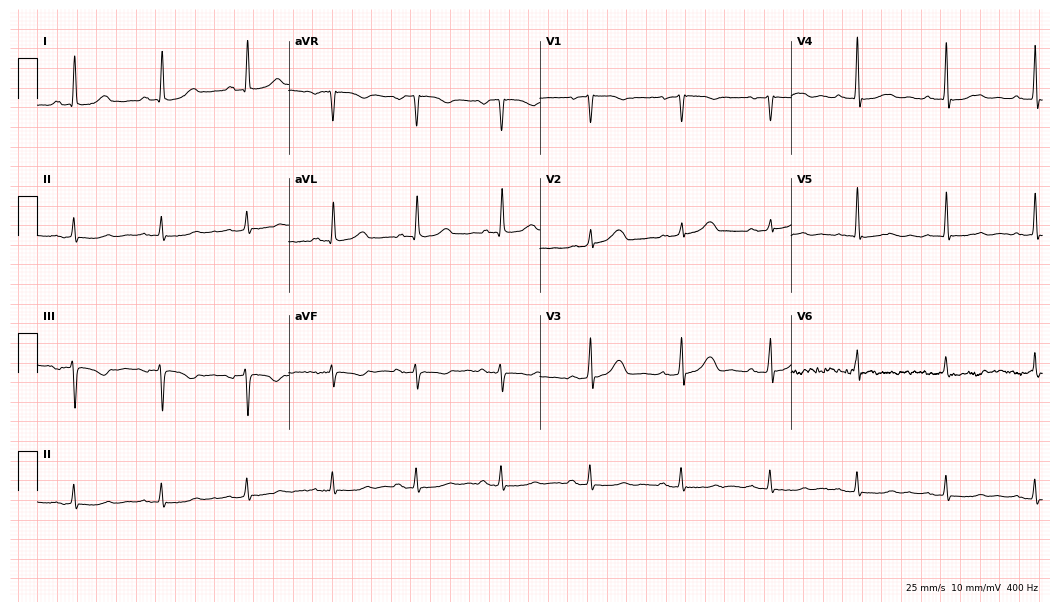
Standard 12-lead ECG recorded from a 65-year-old man (10.2-second recording at 400 Hz). None of these six findings is recorded: first-degree AV block, right bundle branch block (RBBB), left bundle branch block (LBBB), sinus bradycardia, atrial fibrillation (AF), sinus tachycardia. Other findings, if any, are not listed.